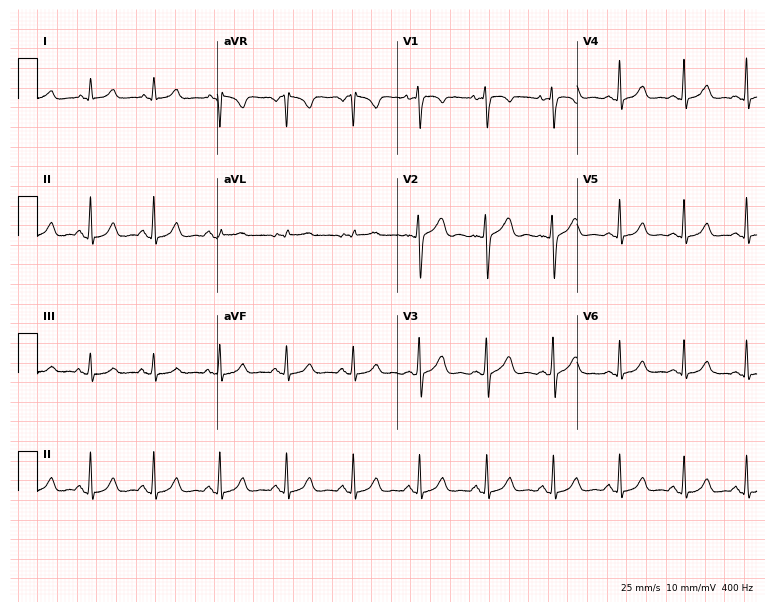
ECG (7.3-second recording at 400 Hz) — a female patient, 27 years old. Labelled as a normal ECG.